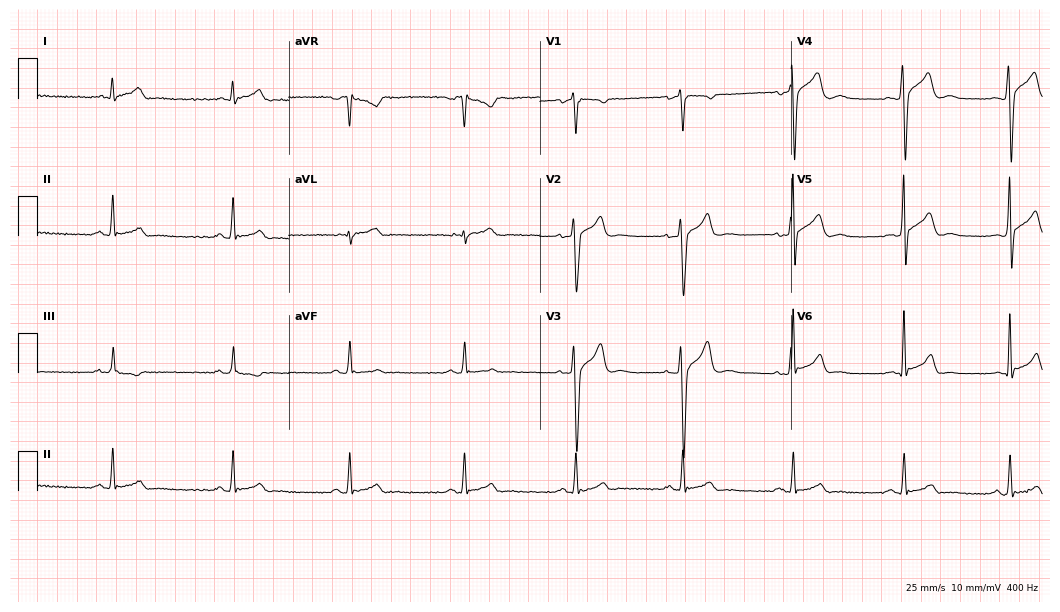
ECG (10.2-second recording at 400 Hz) — a female, 34 years old. Labelled as a normal ECG.